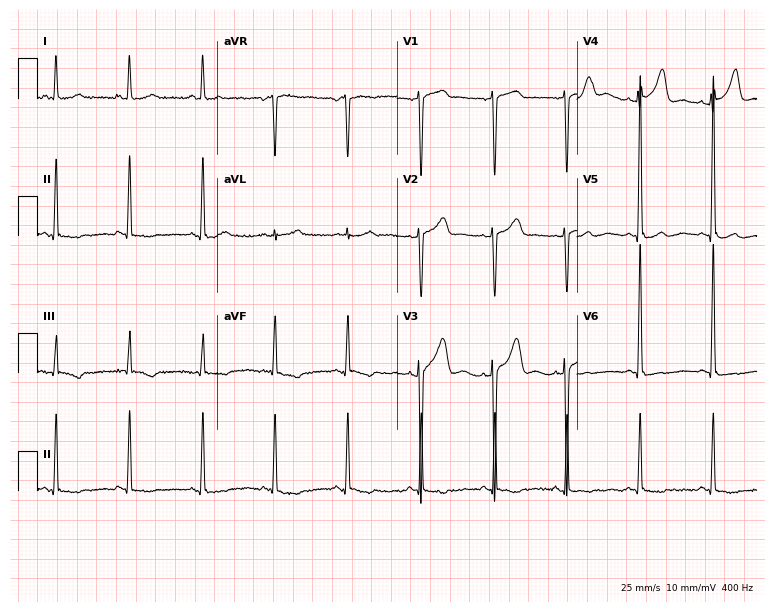
ECG (7.3-second recording at 400 Hz) — a female patient, 74 years old. Screened for six findings — first-degree AV block, right bundle branch block, left bundle branch block, sinus bradycardia, atrial fibrillation, sinus tachycardia — none is recorded. Only these six findings were labelled.